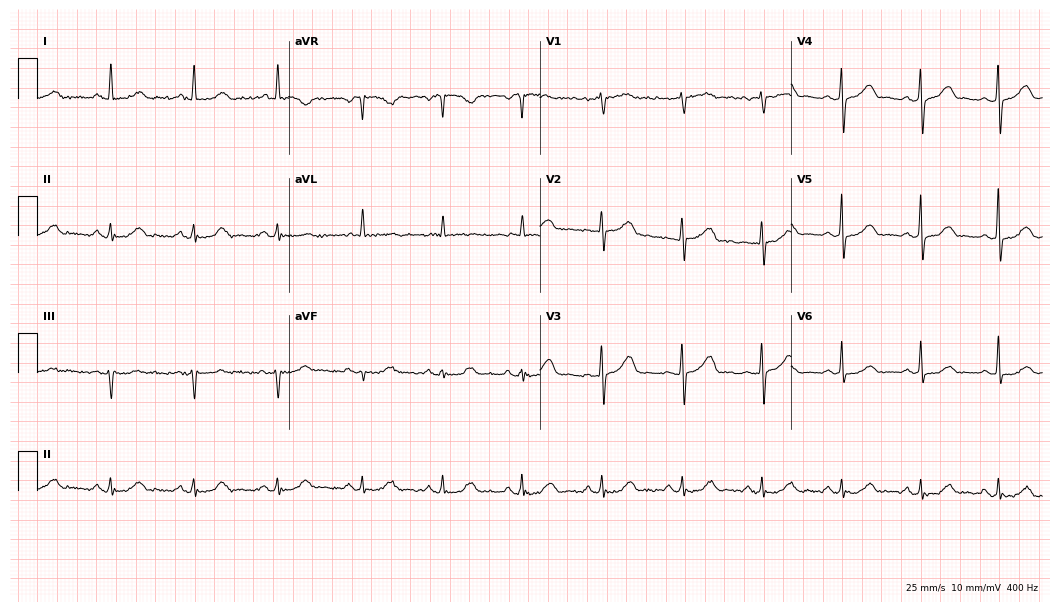
12-lead ECG from a 79-year-old female patient. No first-degree AV block, right bundle branch block, left bundle branch block, sinus bradycardia, atrial fibrillation or sinus tachycardia recorded for this tracing.